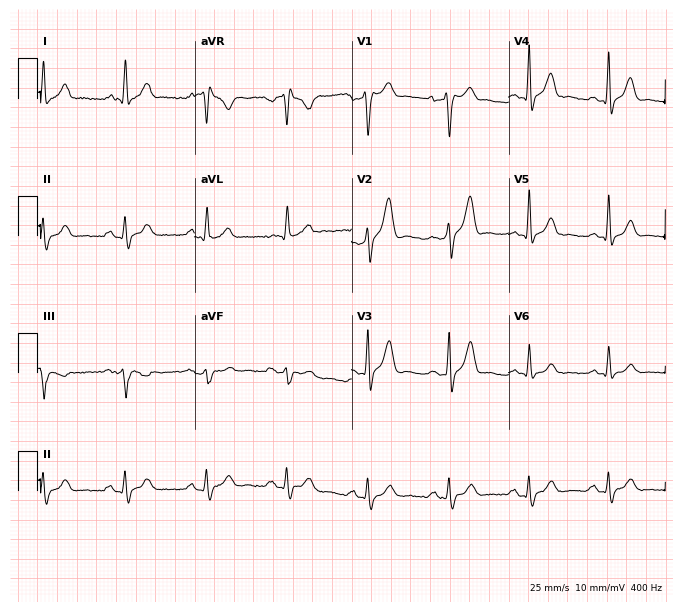
Standard 12-lead ECG recorded from a 50-year-old man. None of these six findings is recorded: first-degree AV block, right bundle branch block (RBBB), left bundle branch block (LBBB), sinus bradycardia, atrial fibrillation (AF), sinus tachycardia.